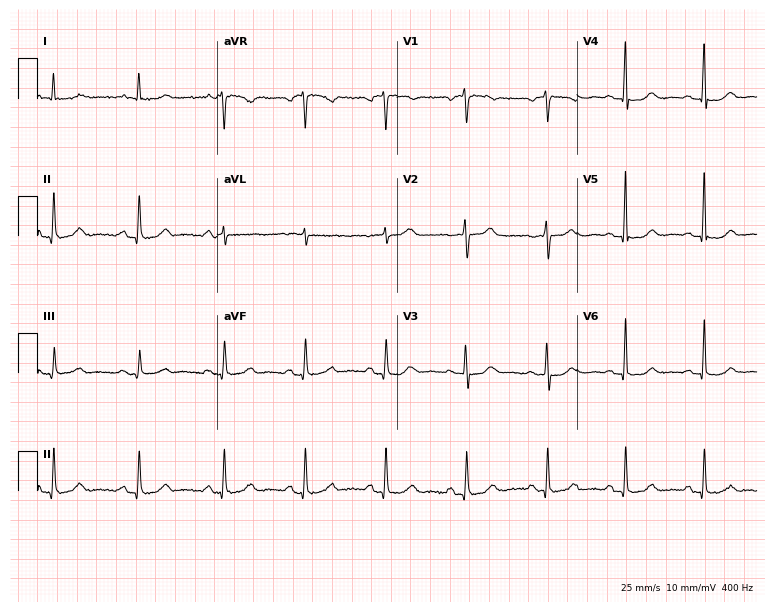
12-lead ECG (7.3-second recording at 400 Hz) from a female, 68 years old. Labelled as a normal ECG.